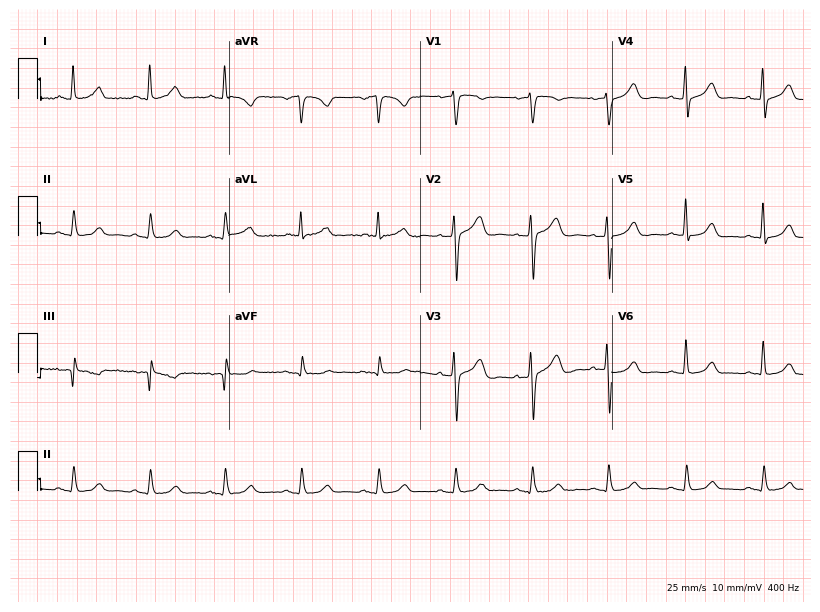
Standard 12-lead ECG recorded from an 82-year-old male (7.8-second recording at 400 Hz). Read as a normal ECG.